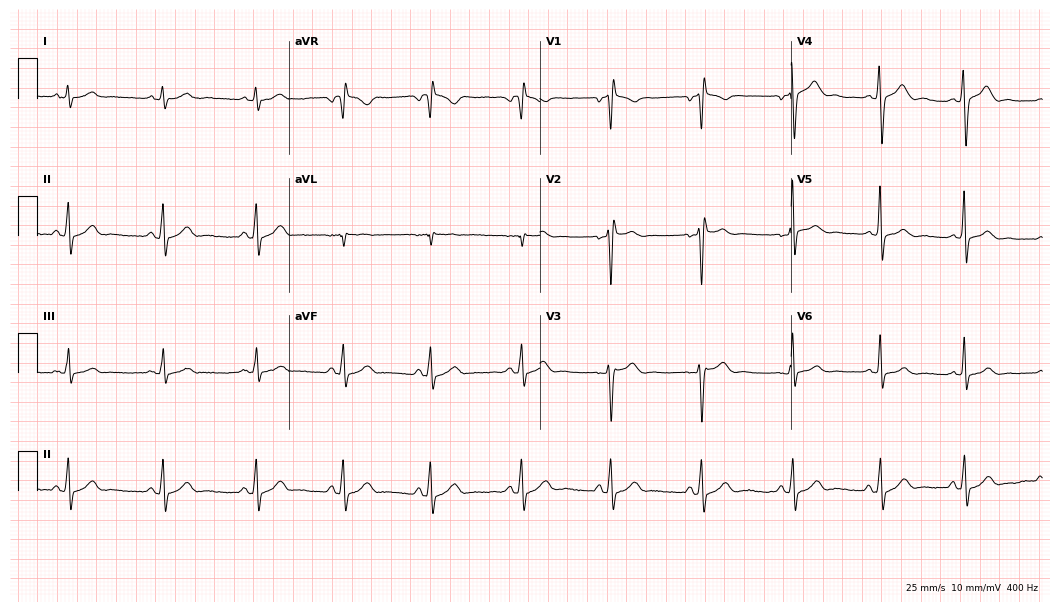
Electrocardiogram (10.2-second recording at 400 Hz), a male, 24 years old. Of the six screened findings (first-degree AV block, right bundle branch block, left bundle branch block, sinus bradycardia, atrial fibrillation, sinus tachycardia), none is recorded. Other findings, if any, are not listed.